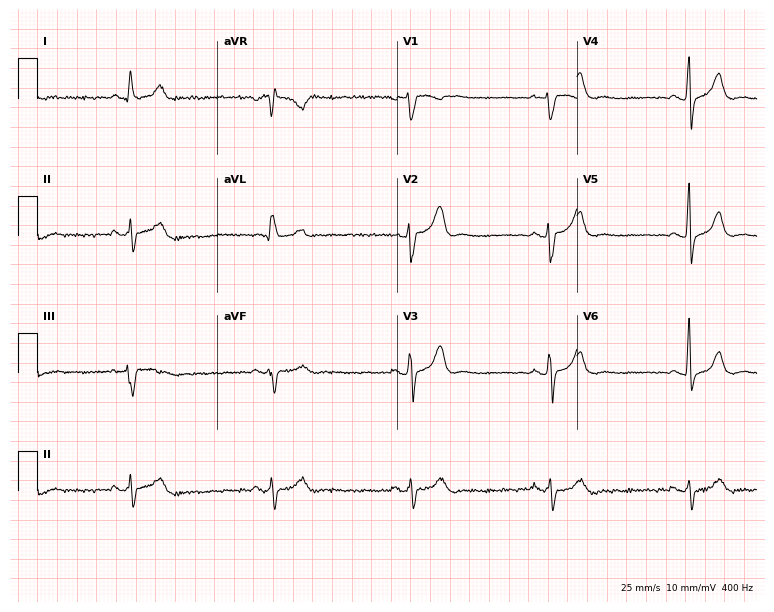
Standard 12-lead ECG recorded from a male, 54 years old (7.3-second recording at 400 Hz). The tracing shows sinus bradycardia (a sinus rate of 50 beats per minute or less).